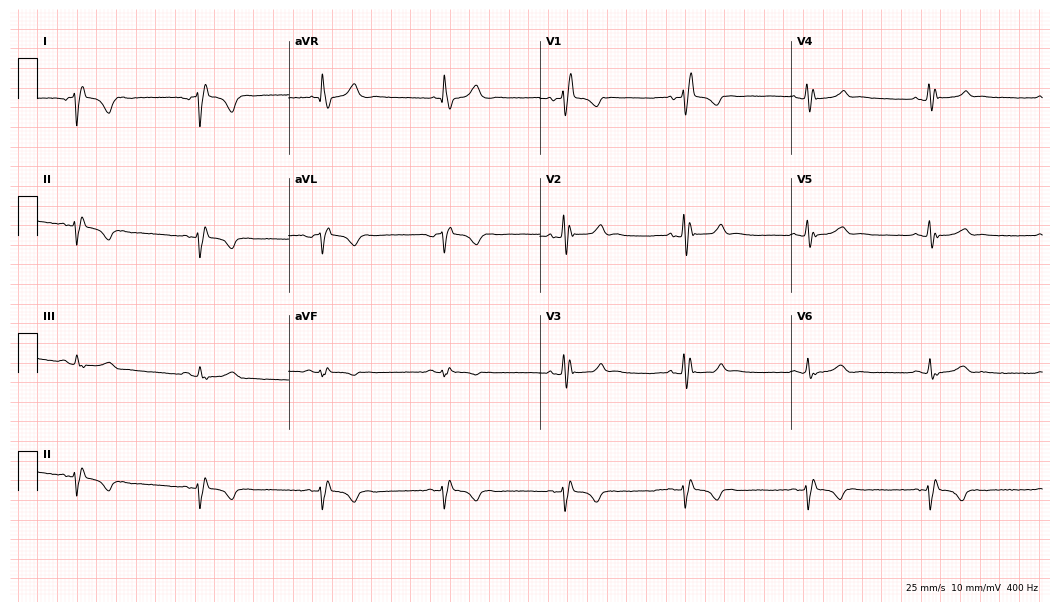
Standard 12-lead ECG recorded from a man, 61 years old. None of these six findings is recorded: first-degree AV block, right bundle branch block, left bundle branch block, sinus bradycardia, atrial fibrillation, sinus tachycardia. Only these six findings were labelled.